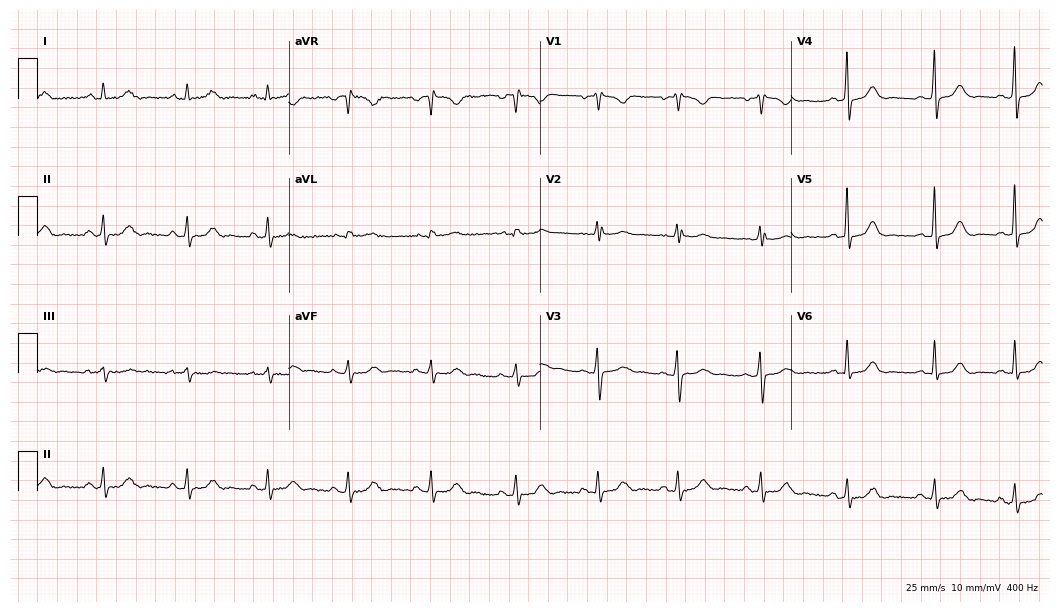
ECG — a 45-year-old female patient. Labelled as a normal ECG.